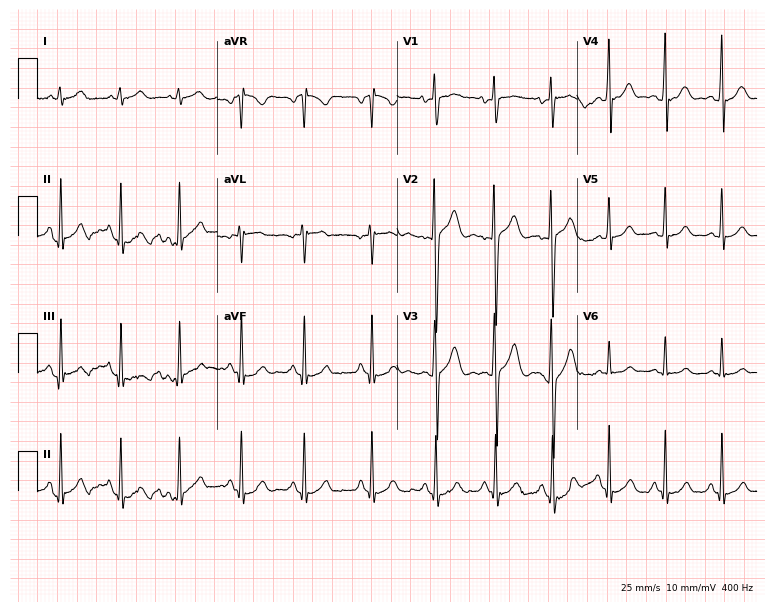
12-lead ECG (7.3-second recording at 400 Hz) from a male patient, 18 years old. Screened for six findings — first-degree AV block, right bundle branch block (RBBB), left bundle branch block (LBBB), sinus bradycardia, atrial fibrillation (AF), sinus tachycardia — none is recorded. Other findings, if any, are not listed.